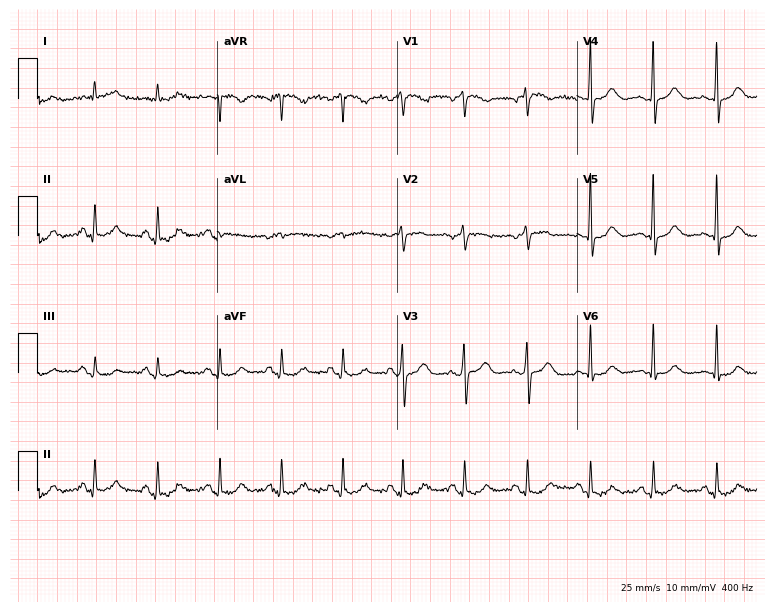
Electrocardiogram (7.3-second recording at 400 Hz), a 72-year-old man. Of the six screened findings (first-degree AV block, right bundle branch block, left bundle branch block, sinus bradycardia, atrial fibrillation, sinus tachycardia), none is recorded.